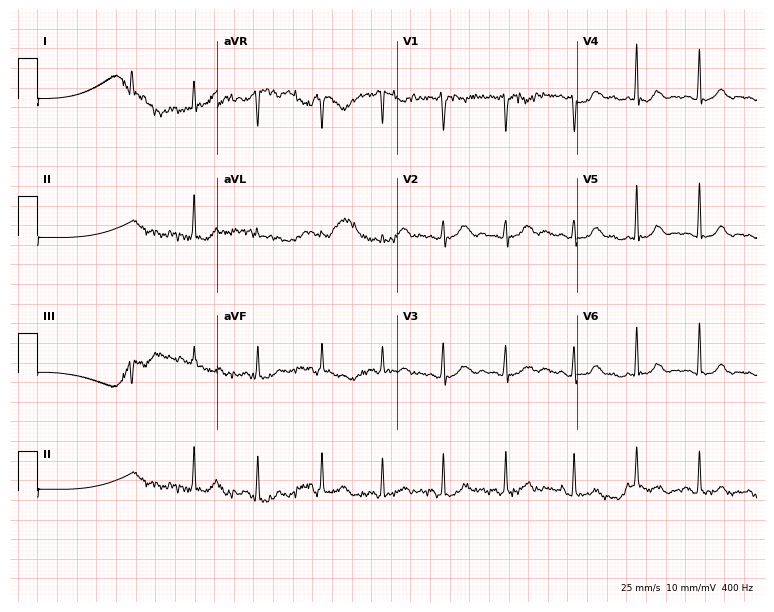
Electrocardiogram (7.3-second recording at 400 Hz), a 26-year-old female. Of the six screened findings (first-degree AV block, right bundle branch block, left bundle branch block, sinus bradycardia, atrial fibrillation, sinus tachycardia), none is recorded.